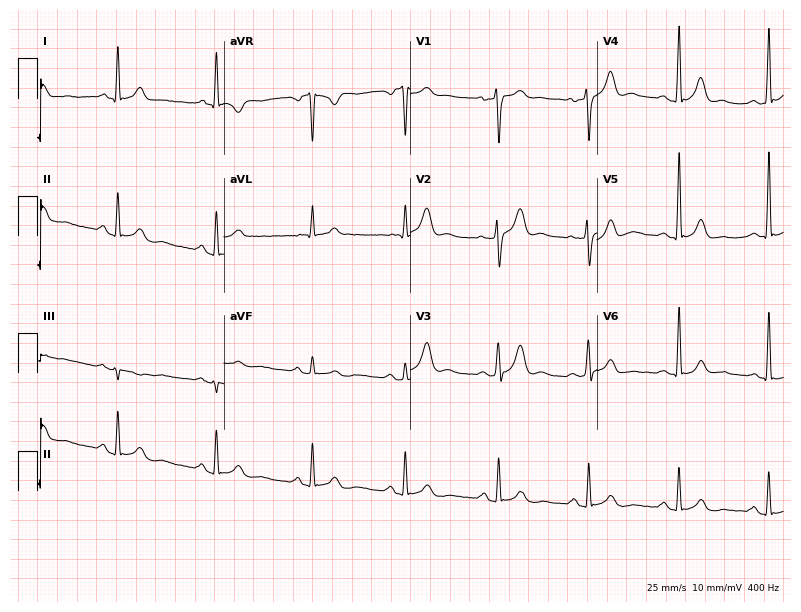
Standard 12-lead ECG recorded from a male, 37 years old (7.6-second recording at 400 Hz). Read as a normal ECG.